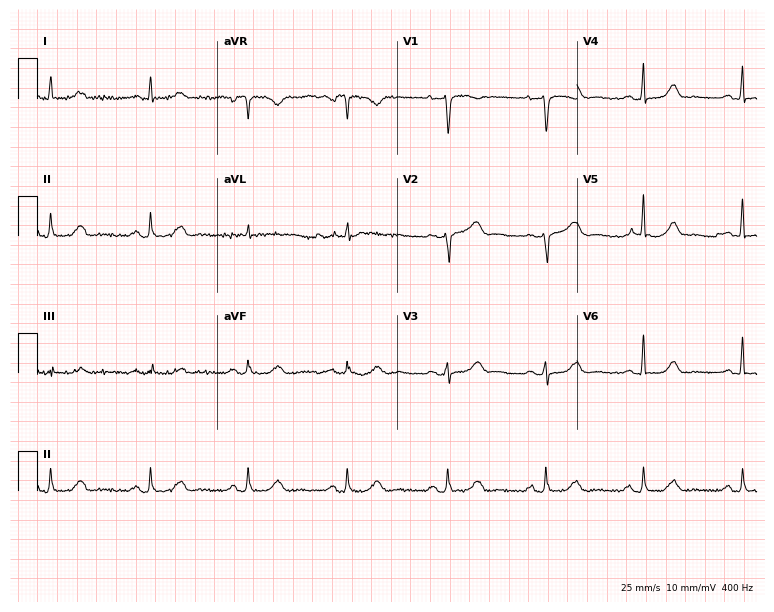
Standard 12-lead ECG recorded from a 56-year-old female (7.3-second recording at 400 Hz). None of these six findings is recorded: first-degree AV block, right bundle branch block, left bundle branch block, sinus bradycardia, atrial fibrillation, sinus tachycardia.